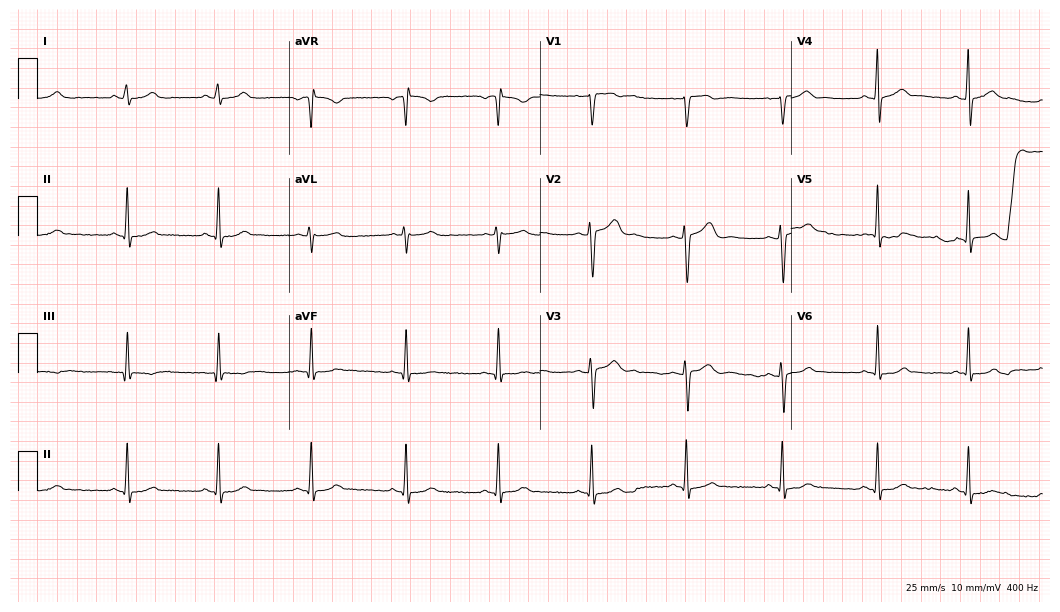
Resting 12-lead electrocardiogram (10.2-second recording at 400 Hz). Patient: a female, 37 years old. Read as a normal ECG.